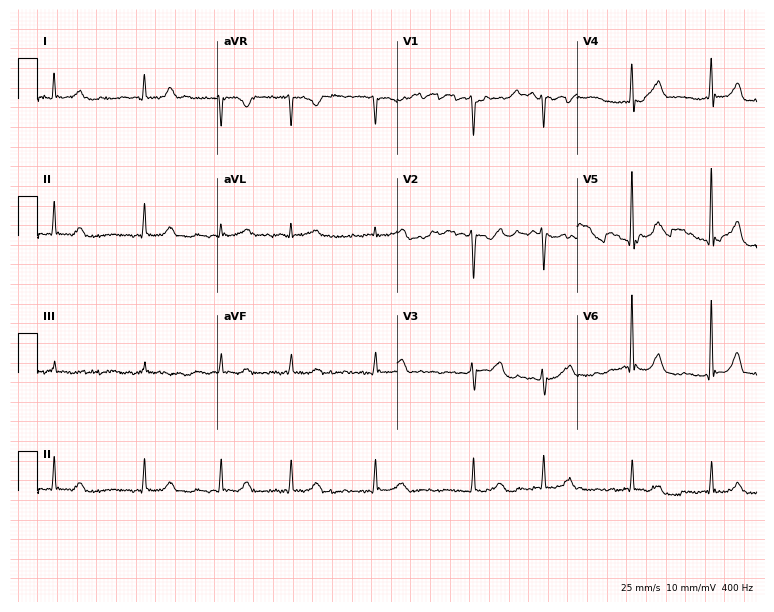
Resting 12-lead electrocardiogram. Patient: a 77-year-old male. The tracing shows atrial fibrillation (AF).